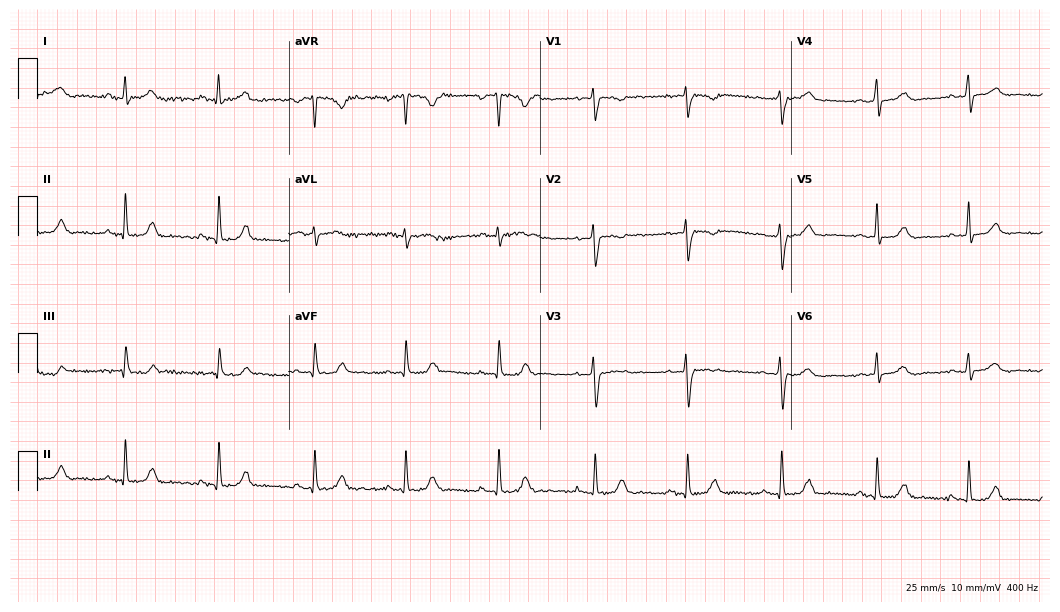
ECG — a 22-year-old woman. Screened for six findings — first-degree AV block, right bundle branch block, left bundle branch block, sinus bradycardia, atrial fibrillation, sinus tachycardia — none is recorded.